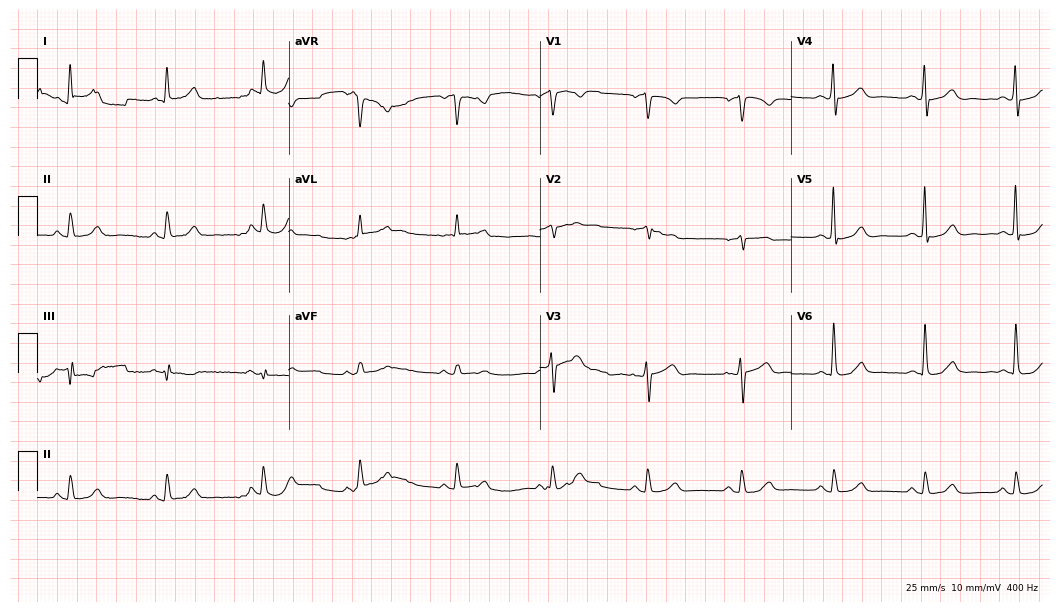
Standard 12-lead ECG recorded from a 74-year-old male patient (10.2-second recording at 400 Hz). Read as a normal ECG.